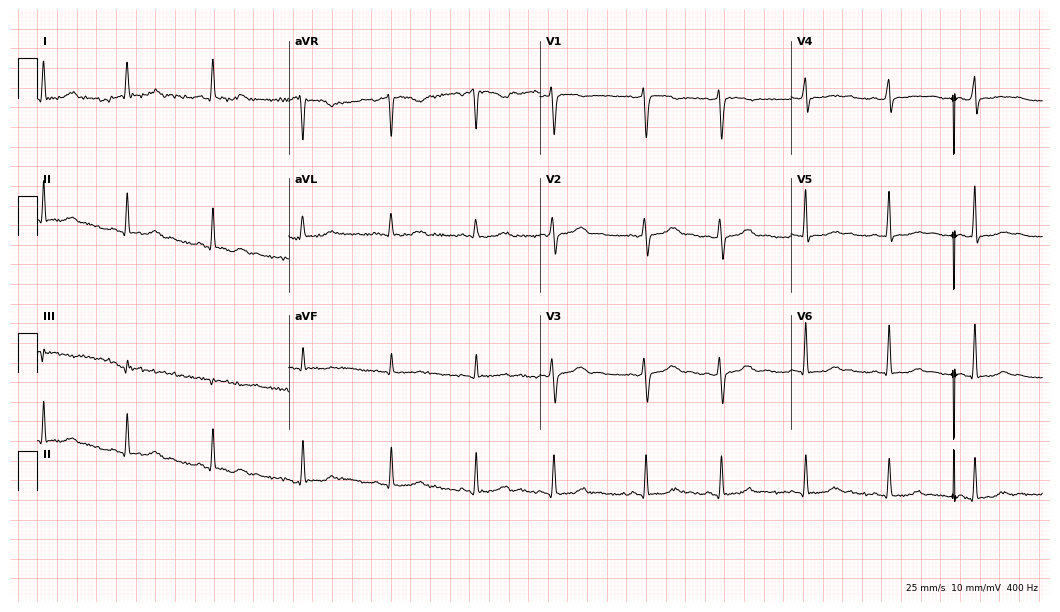
Resting 12-lead electrocardiogram (10.2-second recording at 400 Hz). Patient: a 39-year-old female. None of these six findings is recorded: first-degree AV block, right bundle branch block, left bundle branch block, sinus bradycardia, atrial fibrillation, sinus tachycardia. Other findings, if any, are not listed.